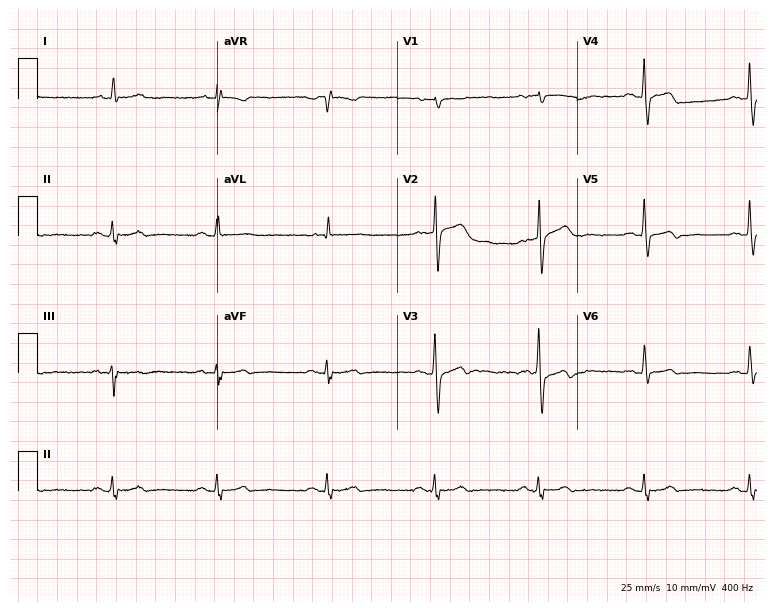
12-lead ECG (7.3-second recording at 400 Hz) from a man, 83 years old. Screened for six findings — first-degree AV block, right bundle branch block (RBBB), left bundle branch block (LBBB), sinus bradycardia, atrial fibrillation (AF), sinus tachycardia — none is recorded. Findings outside these six are not listed.